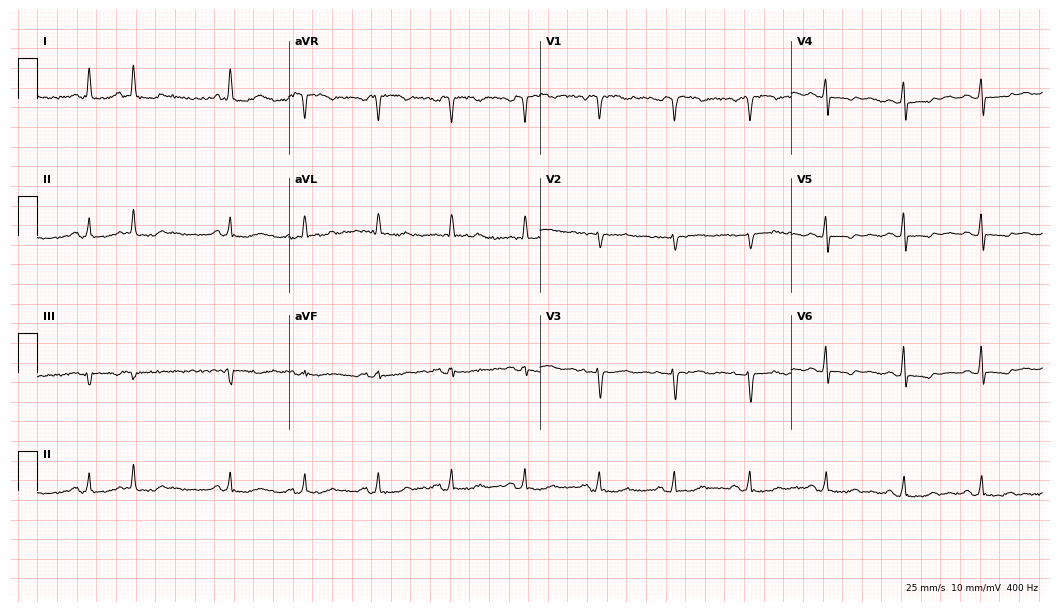
ECG (10.2-second recording at 400 Hz) — a woman, 72 years old. Screened for six findings — first-degree AV block, right bundle branch block, left bundle branch block, sinus bradycardia, atrial fibrillation, sinus tachycardia — none is recorded.